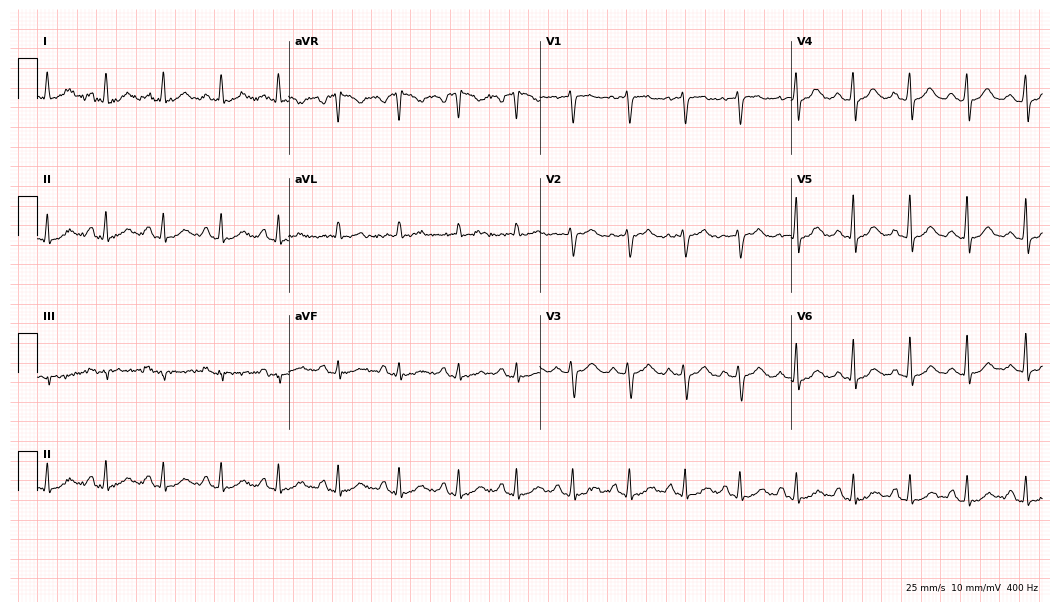
Resting 12-lead electrocardiogram. Patient: a 44-year-old female. None of these six findings is recorded: first-degree AV block, right bundle branch block (RBBB), left bundle branch block (LBBB), sinus bradycardia, atrial fibrillation (AF), sinus tachycardia. Findings outside these six are not listed.